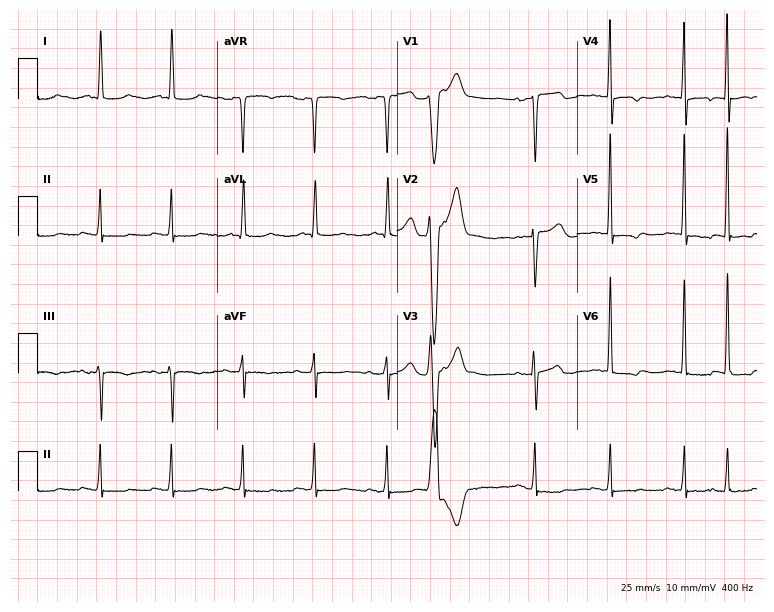
Resting 12-lead electrocardiogram. Patient: a 79-year-old female. None of these six findings is recorded: first-degree AV block, right bundle branch block, left bundle branch block, sinus bradycardia, atrial fibrillation, sinus tachycardia.